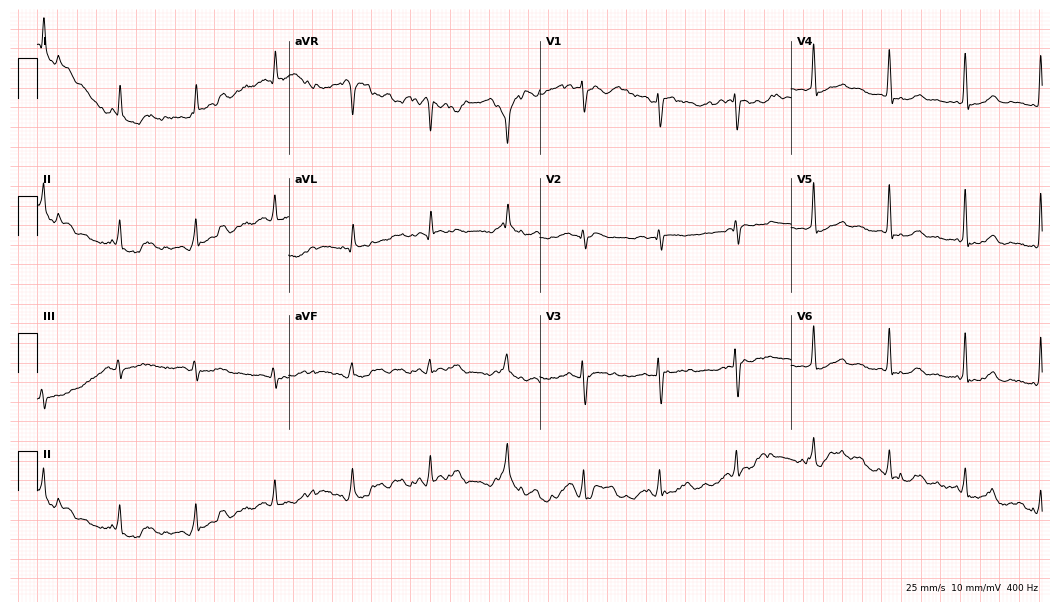
Electrocardiogram (10.2-second recording at 400 Hz), an 83-year-old female. Overall reading on record: normal ECG.